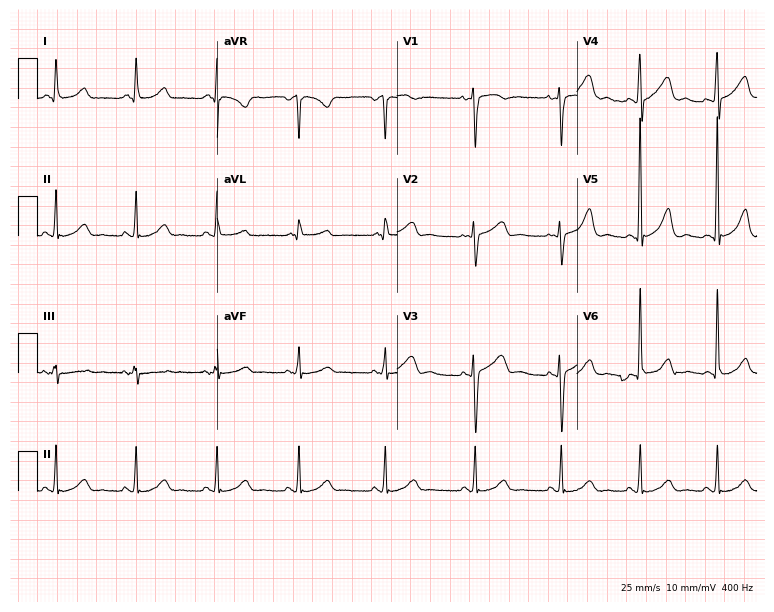
12-lead ECG from a 43-year-old woman. Recorded interpretation: within normal limits.